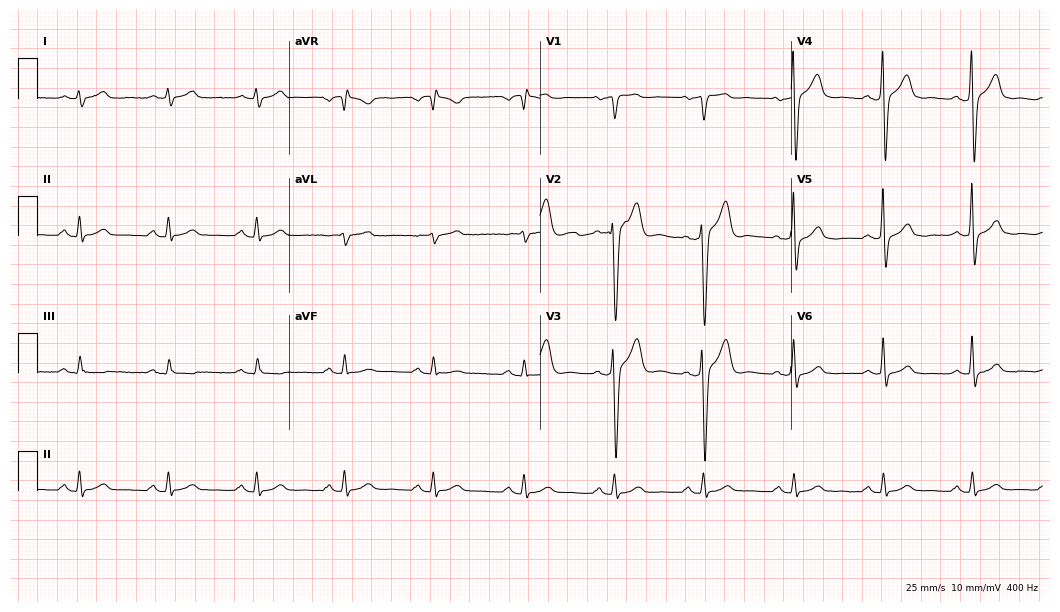
12-lead ECG from a 58-year-old male (10.2-second recording at 400 Hz). No first-degree AV block, right bundle branch block, left bundle branch block, sinus bradycardia, atrial fibrillation or sinus tachycardia recorded for this tracing.